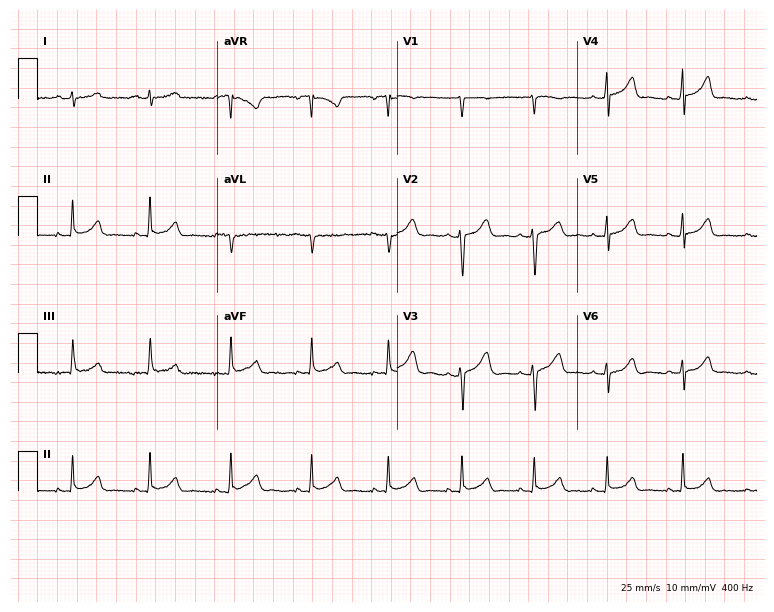
12-lead ECG from a female, 19 years old (7.3-second recording at 400 Hz). No first-degree AV block, right bundle branch block, left bundle branch block, sinus bradycardia, atrial fibrillation or sinus tachycardia recorded for this tracing. Findings outside these six are not listed.